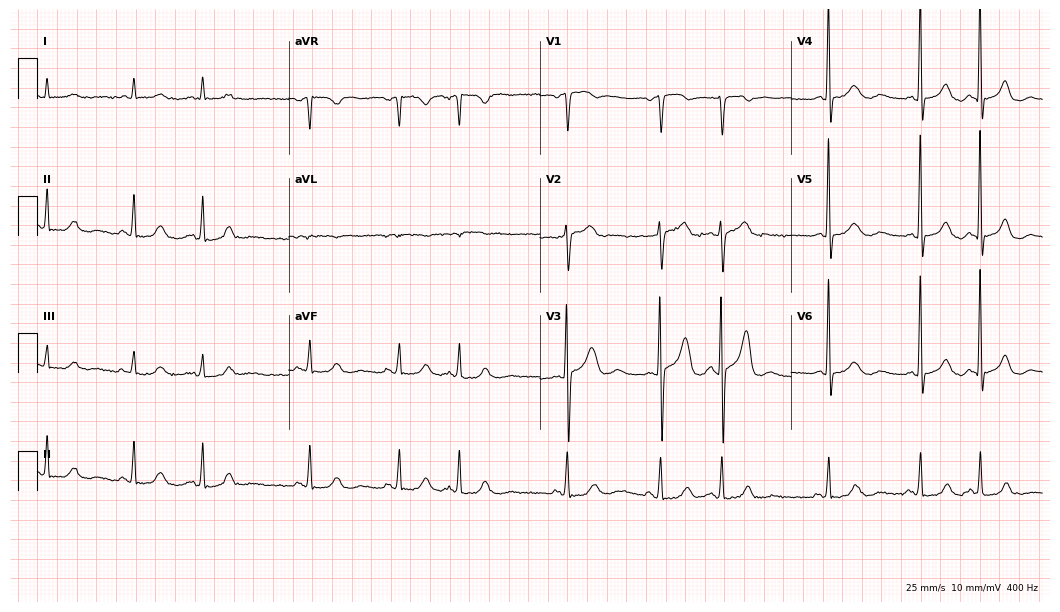
12-lead ECG from an 83-year-old man (10.2-second recording at 400 Hz). No first-degree AV block, right bundle branch block, left bundle branch block, sinus bradycardia, atrial fibrillation or sinus tachycardia recorded for this tracing. Other findings, if any, are not listed.